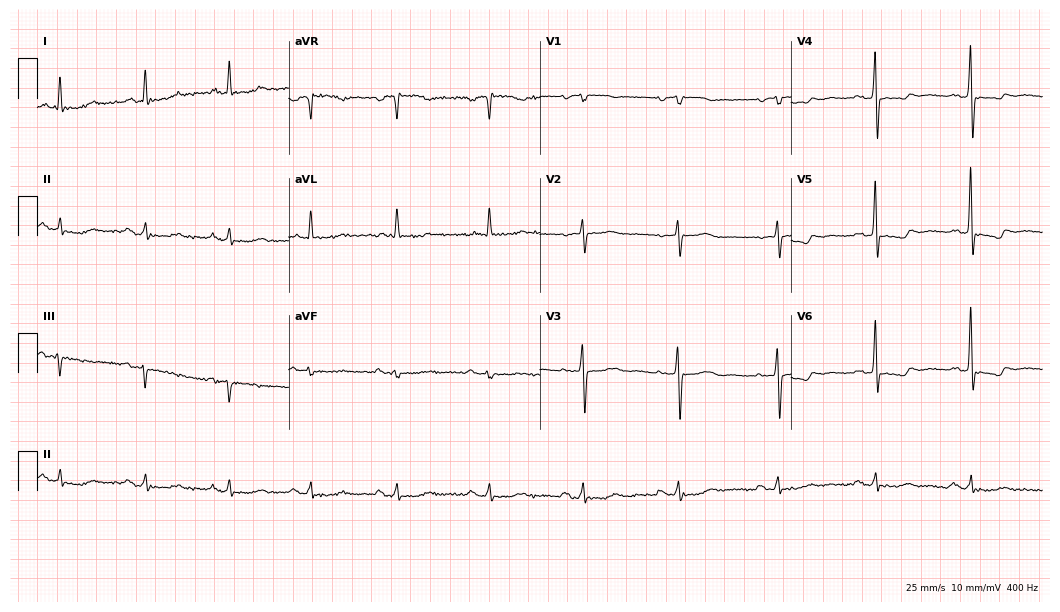
Standard 12-lead ECG recorded from a female, 66 years old. None of these six findings is recorded: first-degree AV block, right bundle branch block, left bundle branch block, sinus bradycardia, atrial fibrillation, sinus tachycardia. Other findings, if any, are not listed.